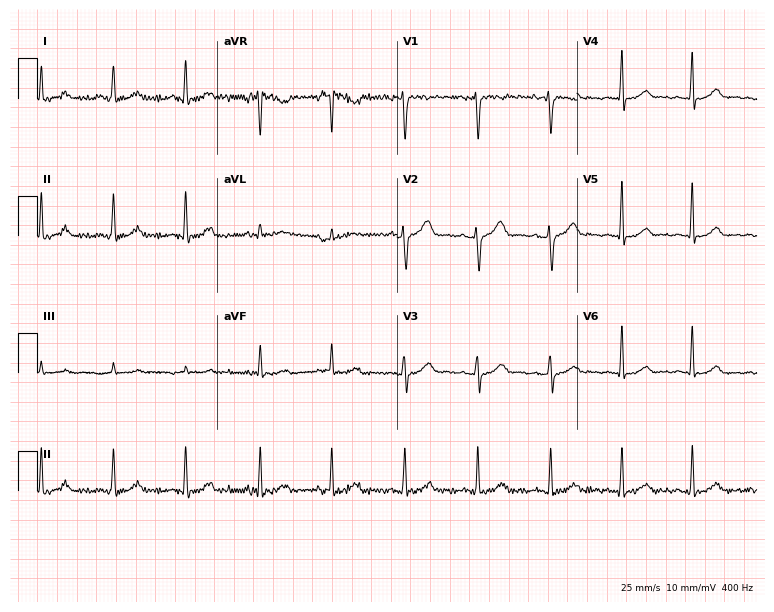
ECG — a female, 48 years old. Screened for six findings — first-degree AV block, right bundle branch block (RBBB), left bundle branch block (LBBB), sinus bradycardia, atrial fibrillation (AF), sinus tachycardia — none is recorded. Only these six findings were labelled.